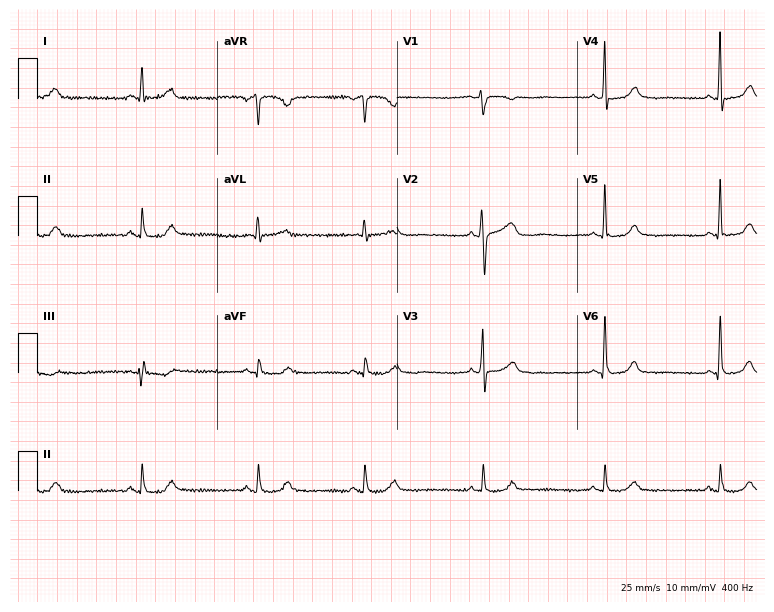
Resting 12-lead electrocardiogram. Patient: a woman, 54 years old. The tracing shows sinus bradycardia (a sinus rate of 50 beats per minute or less).